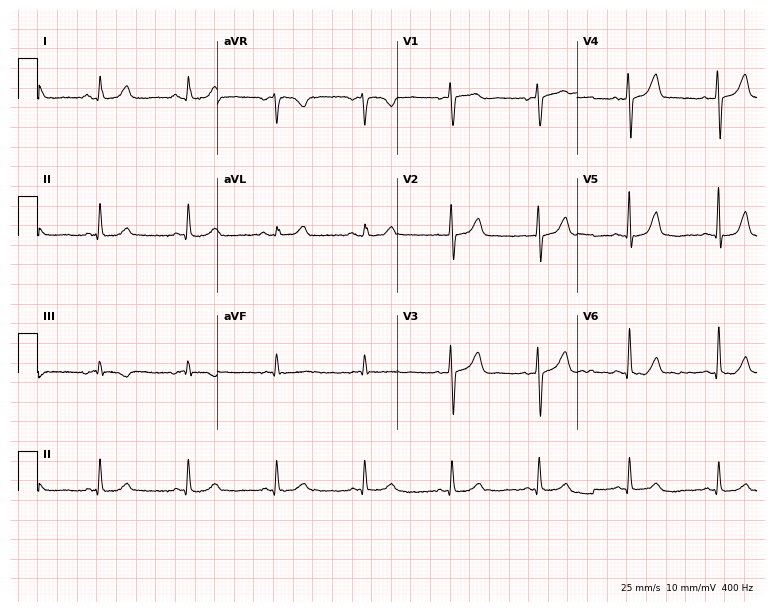
ECG (7.3-second recording at 400 Hz) — an 86-year-old female. Labelled as a normal ECG.